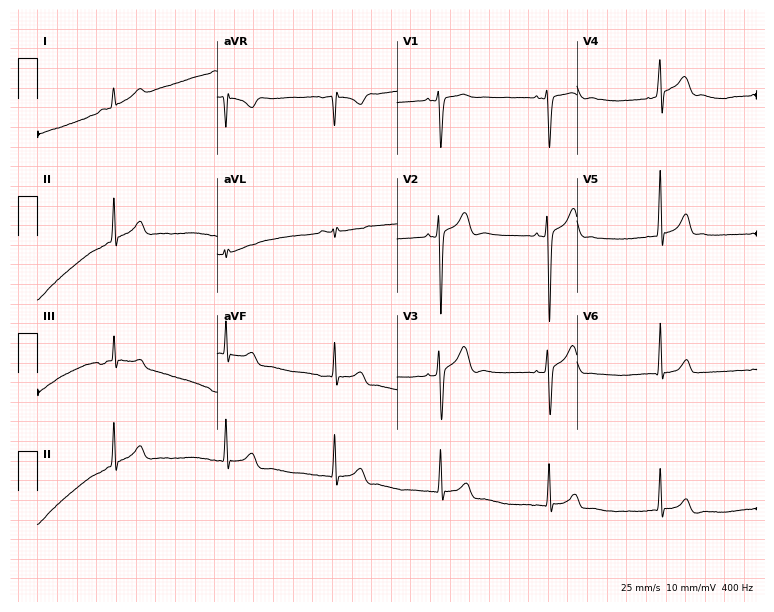
ECG (7.3-second recording at 400 Hz) — a 20-year-old male patient. Screened for six findings — first-degree AV block, right bundle branch block, left bundle branch block, sinus bradycardia, atrial fibrillation, sinus tachycardia — none is recorded. Only these six findings were labelled.